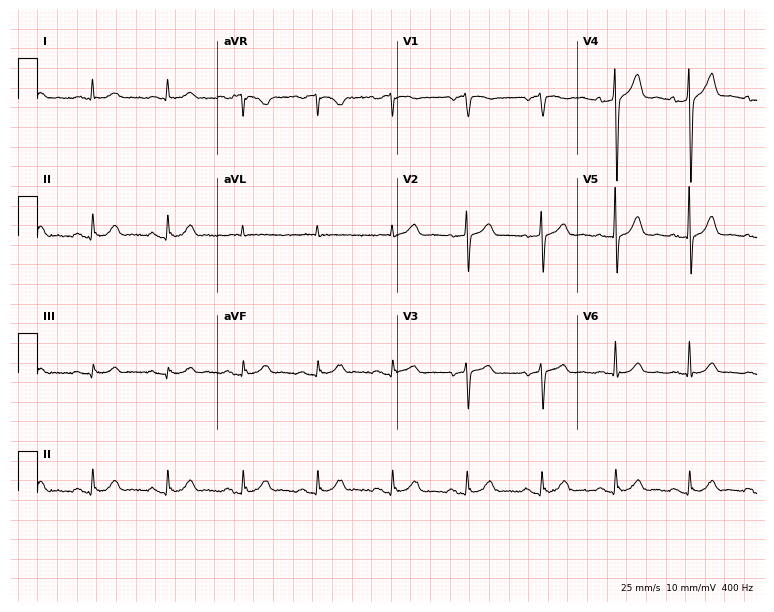
12-lead ECG from an 81-year-old man. Recorded interpretation: within normal limits.